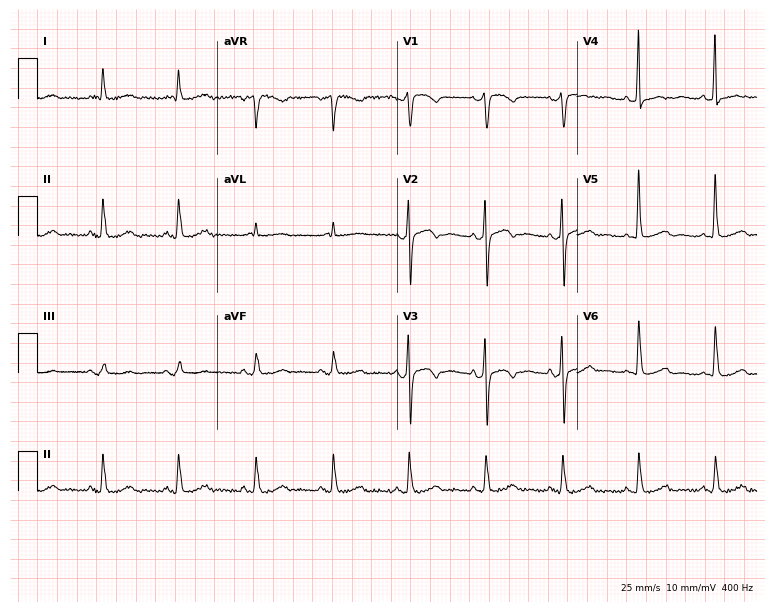
Standard 12-lead ECG recorded from a female, 70 years old (7.3-second recording at 400 Hz). Read as a normal ECG.